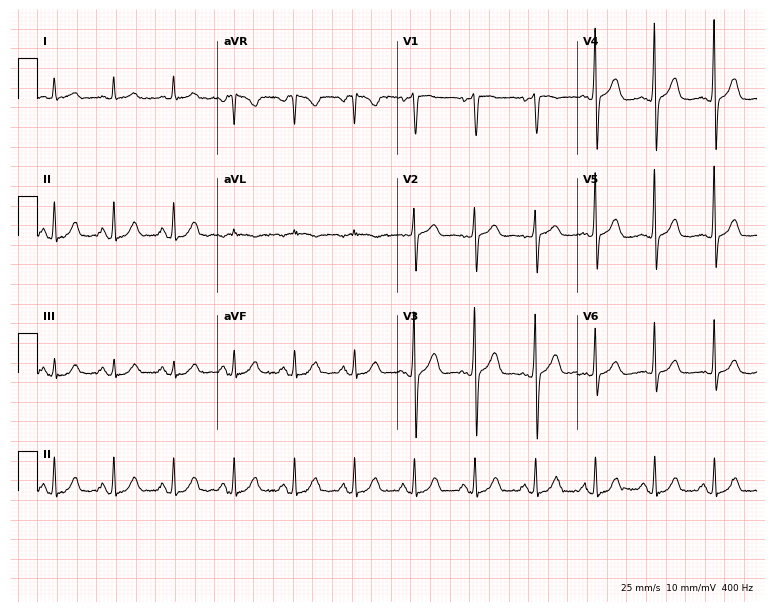
Electrocardiogram, a male patient, 59 years old. Overall reading on record: normal ECG.